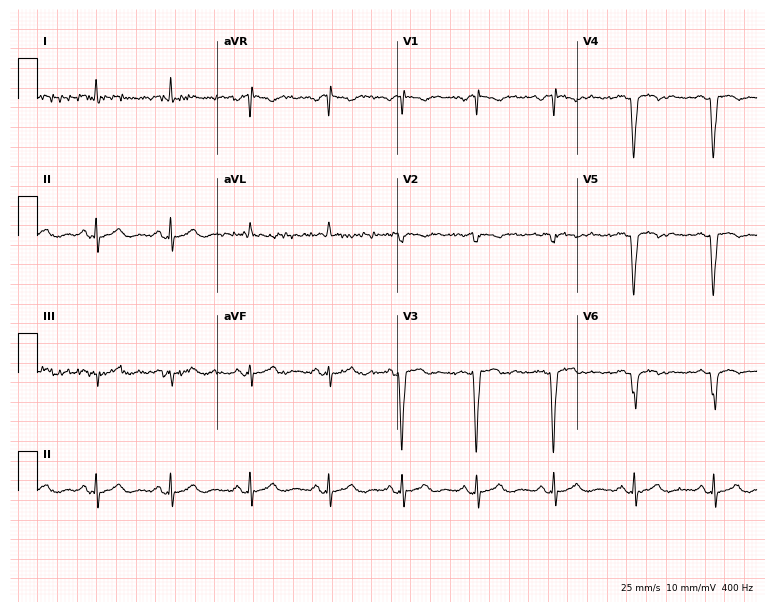
ECG — a 48-year-old man. Screened for six findings — first-degree AV block, right bundle branch block (RBBB), left bundle branch block (LBBB), sinus bradycardia, atrial fibrillation (AF), sinus tachycardia — none is recorded. Other findings, if any, are not listed.